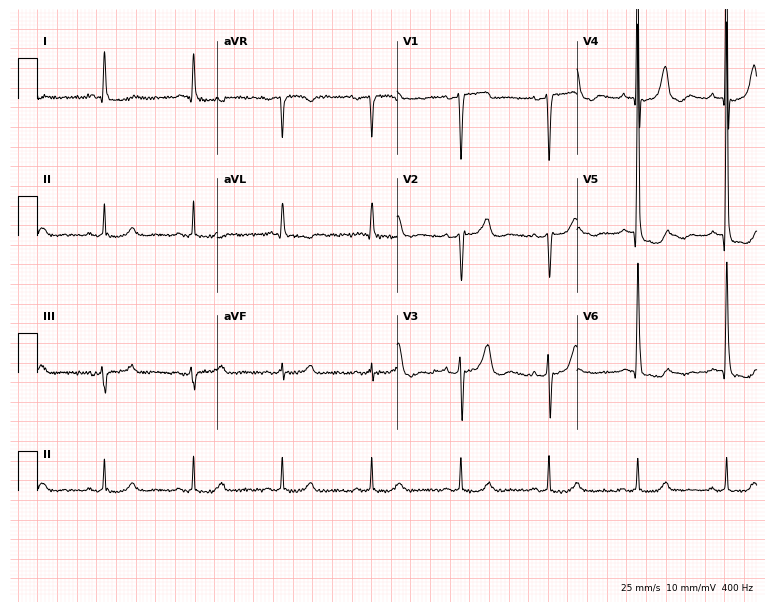
Standard 12-lead ECG recorded from a male patient, 82 years old. Read as a normal ECG.